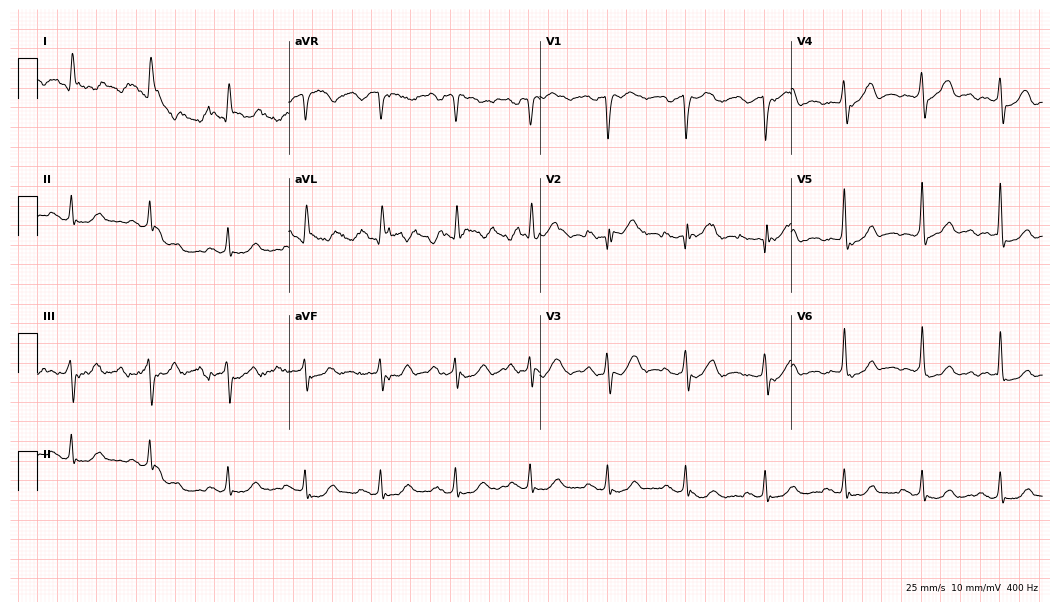
Resting 12-lead electrocardiogram. Patient: a male, 80 years old. Read as a normal ECG.